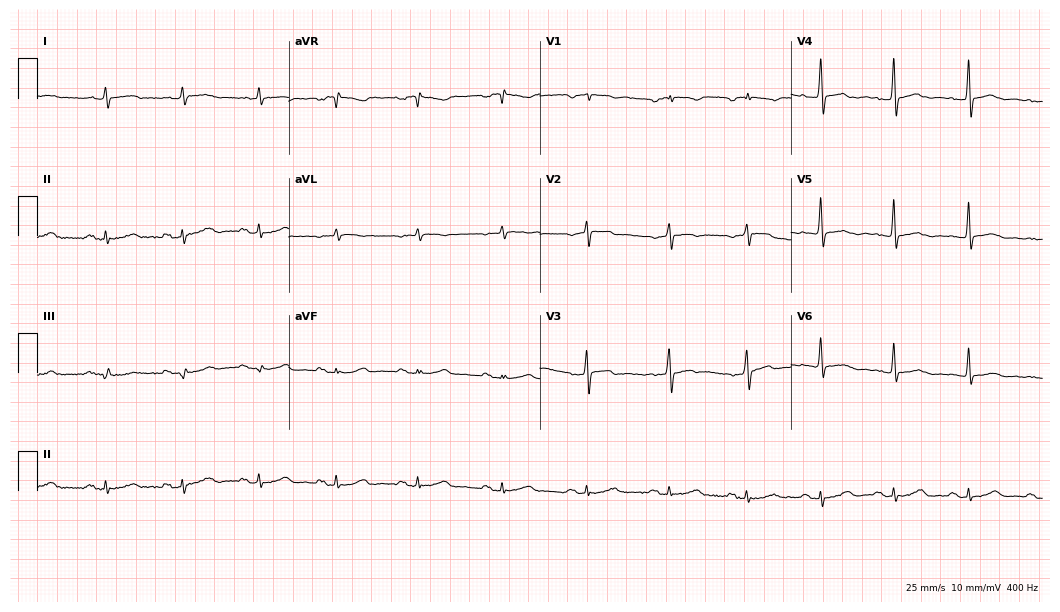
Resting 12-lead electrocardiogram. Patient: a male, 64 years old. None of these six findings is recorded: first-degree AV block, right bundle branch block, left bundle branch block, sinus bradycardia, atrial fibrillation, sinus tachycardia.